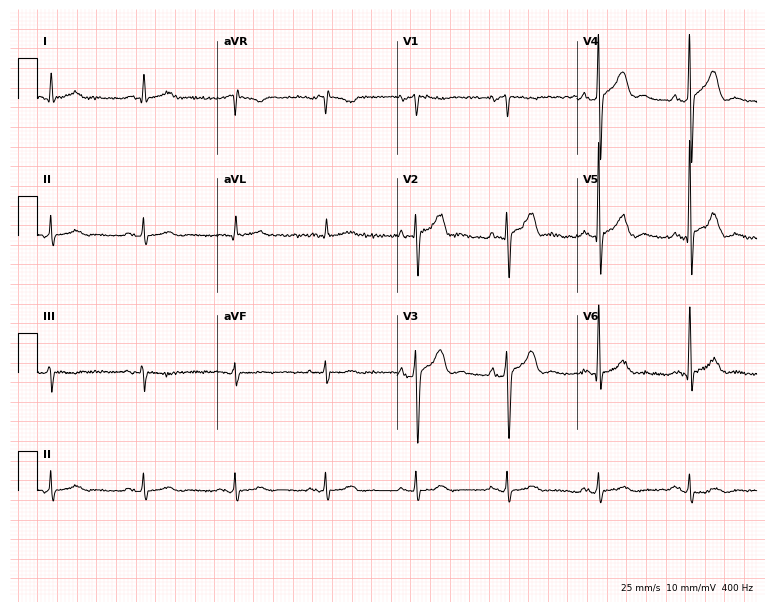
ECG — a 70-year-old male. Labelled as a normal ECG.